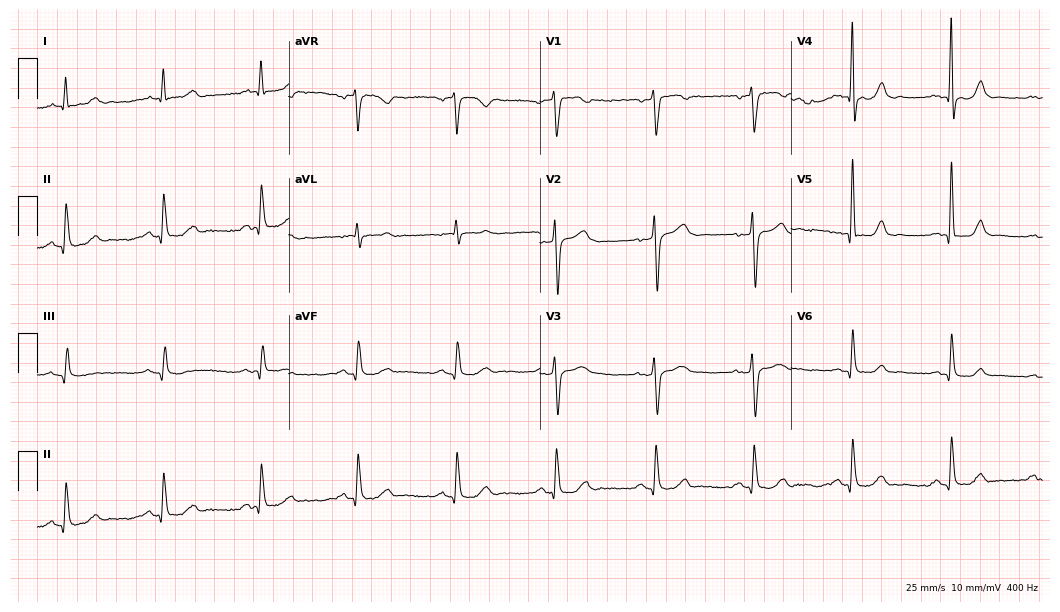
Electrocardiogram (10.2-second recording at 400 Hz), a male, 50 years old. Of the six screened findings (first-degree AV block, right bundle branch block, left bundle branch block, sinus bradycardia, atrial fibrillation, sinus tachycardia), none is recorded.